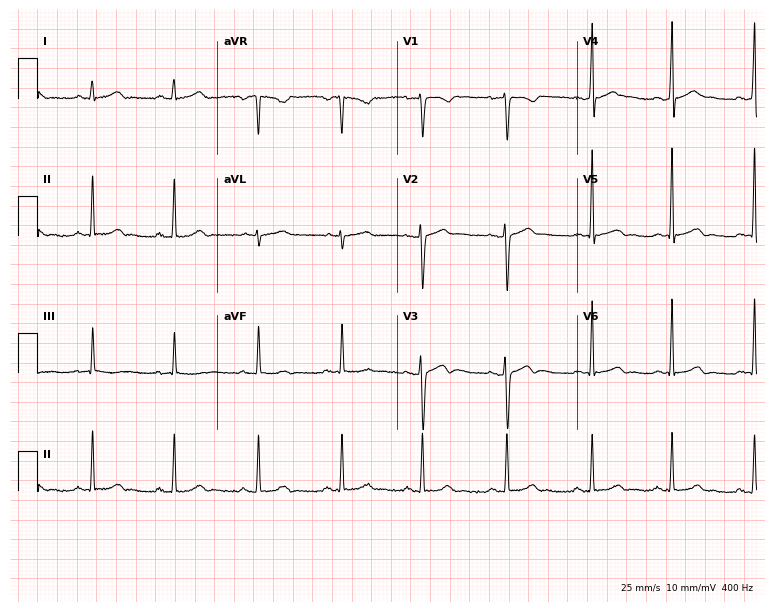
ECG — a female patient, 27 years old. Screened for six findings — first-degree AV block, right bundle branch block, left bundle branch block, sinus bradycardia, atrial fibrillation, sinus tachycardia — none is recorded.